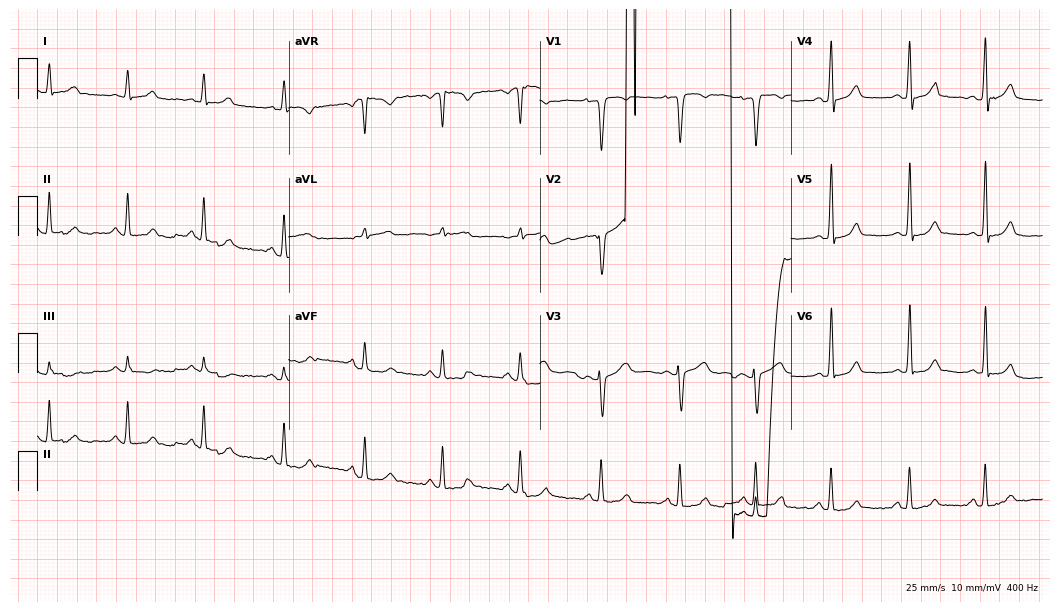
Standard 12-lead ECG recorded from a 35-year-old female patient. None of these six findings is recorded: first-degree AV block, right bundle branch block, left bundle branch block, sinus bradycardia, atrial fibrillation, sinus tachycardia. Other findings, if any, are not listed.